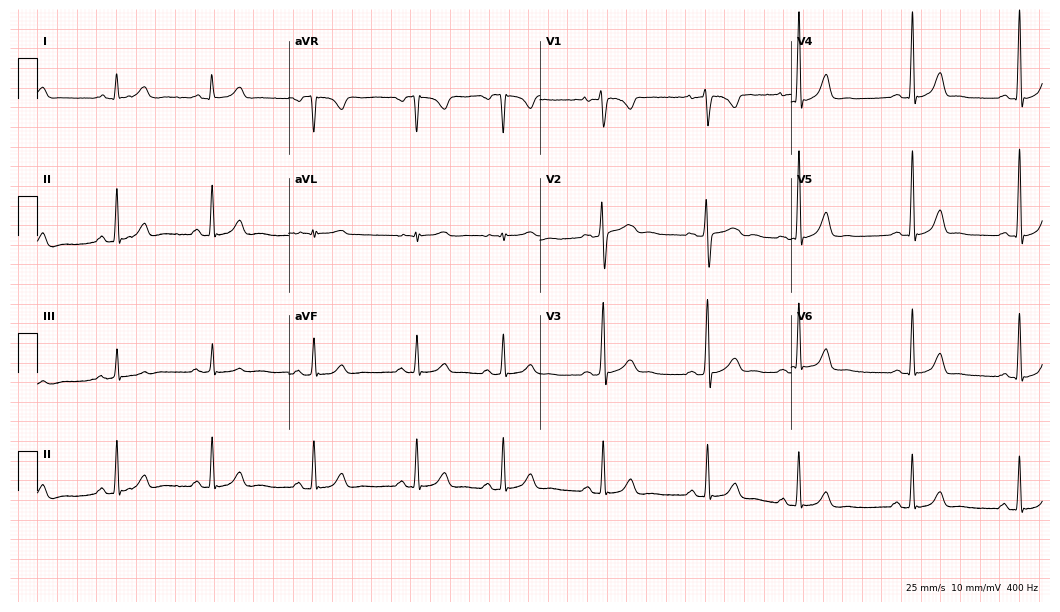
12-lead ECG (10.2-second recording at 400 Hz) from a woman, 21 years old. Labelled as a normal ECG.